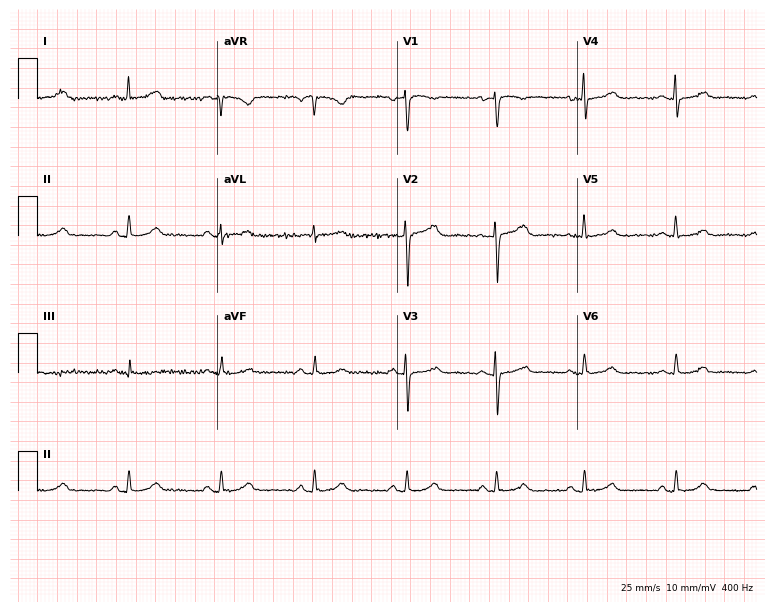
Resting 12-lead electrocardiogram. Patient: a woman, 58 years old. Read as a normal ECG.